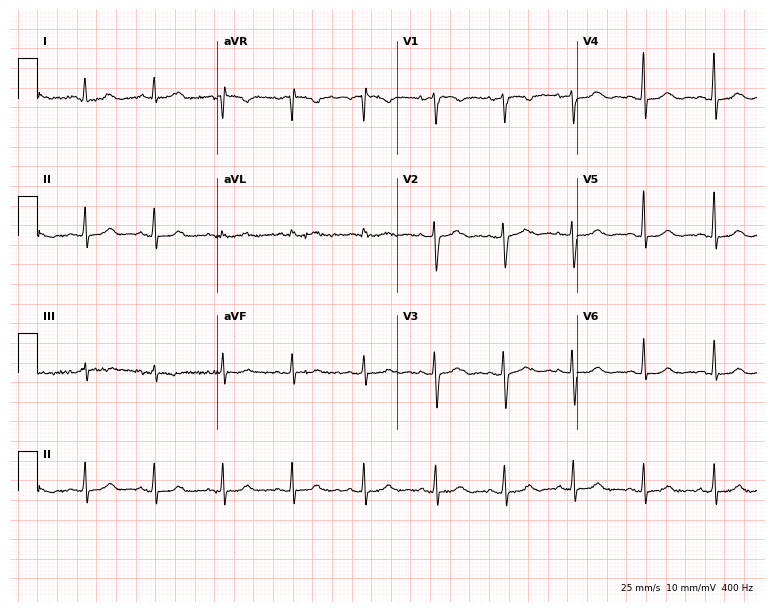
ECG — a female patient, 50 years old. Screened for six findings — first-degree AV block, right bundle branch block, left bundle branch block, sinus bradycardia, atrial fibrillation, sinus tachycardia — none is recorded.